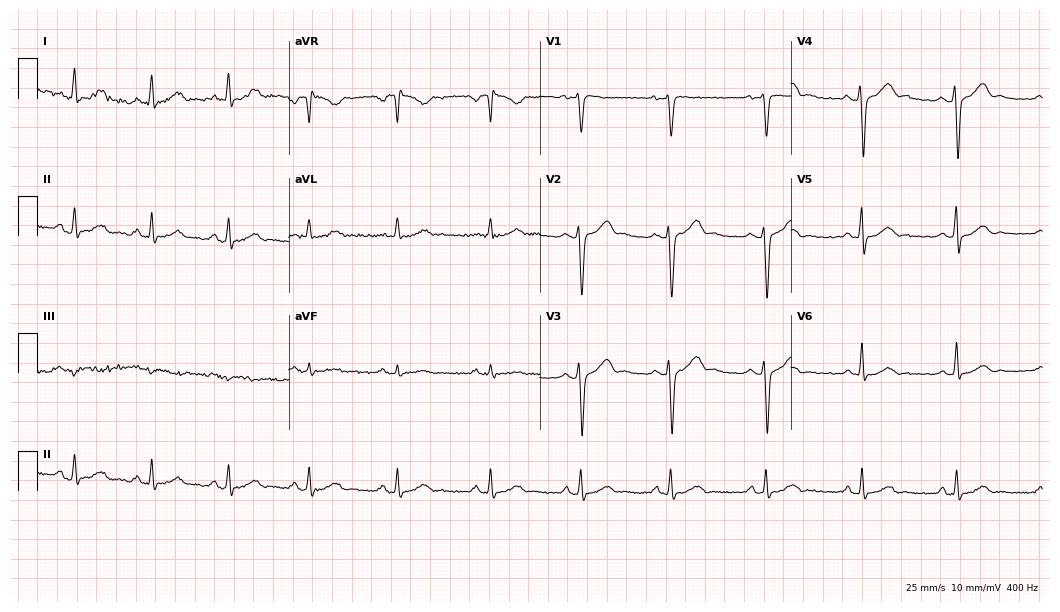
12-lead ECG from a man, 36 years old (10.2-second recording at 400 Hz). Recorded interpretation: within normal limits.